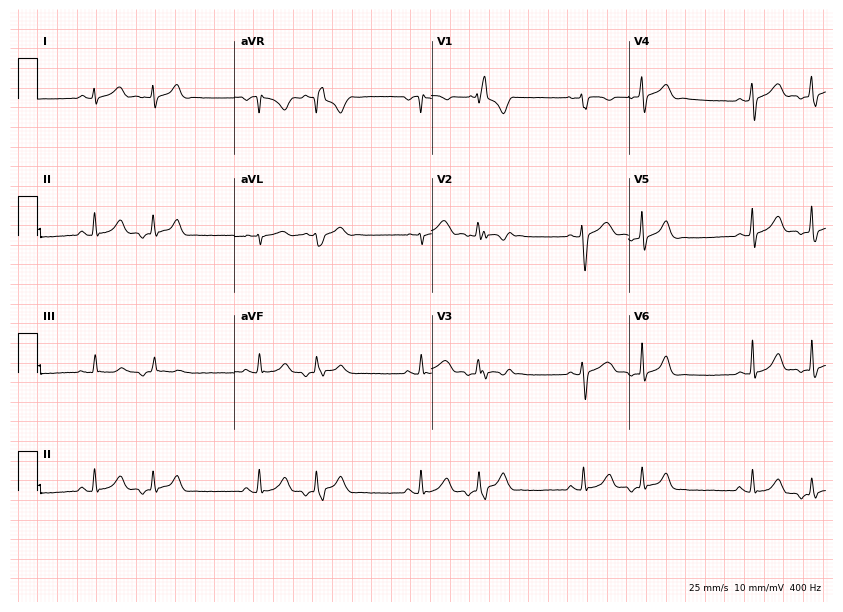
Resting 12-lead electrocardiogram (8-second recording at 400 Hz). Patient: a female, 18 years old. None of these six findings is recorded: first-degree AV block, right bundle branch block (RBBB), left bundle branch block (LBBB), sinus bradycardia, atrial fibrillation (AF), sinus tachycardia. Other findings, if any, are not listed.